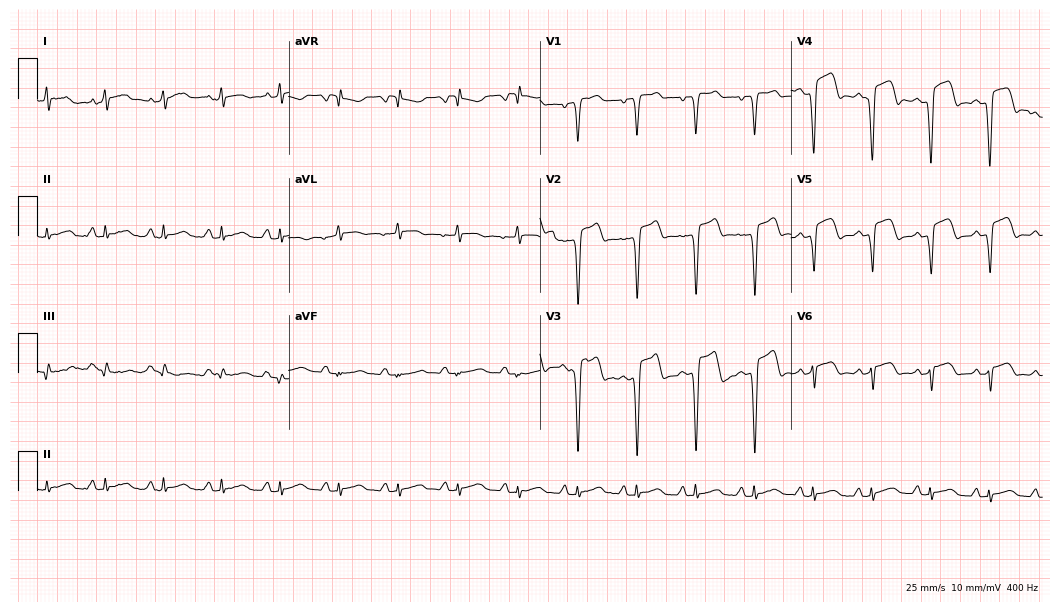
Electrocardiogram (10.2-second recording at 400 Hz), a 52-year-old male patient. Interpretation includes sinus tachycardia (a sinus rate of 100 beats per minute or more).